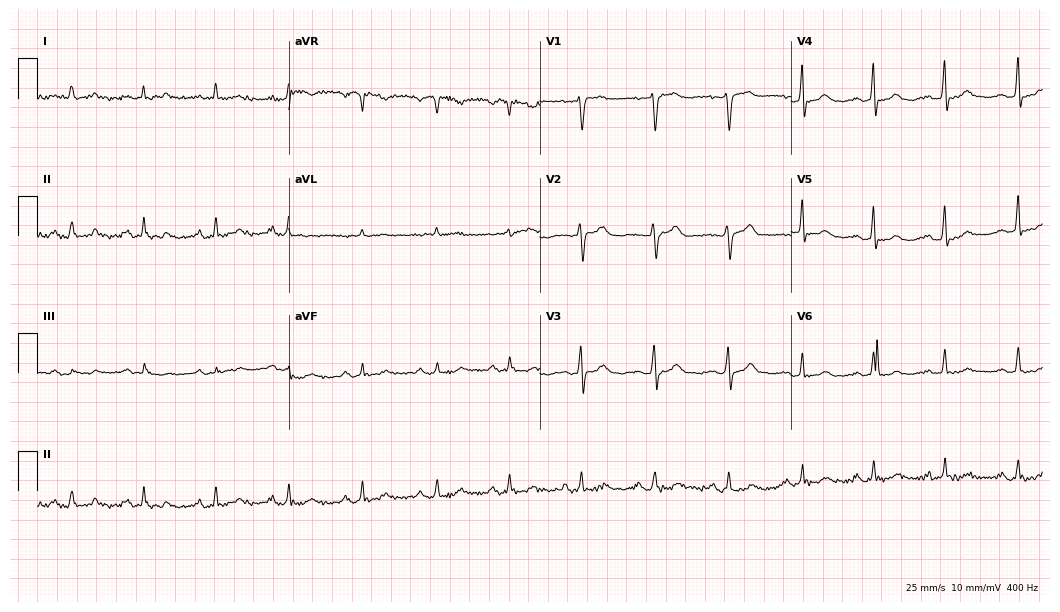
Resting 12-lead electrocardiogram (10.2-second recording at 400 Hz). Patient: a woman, 63 years old. None of these six findings is recorded: first-degree AV block, right bundle branch block, left bundle branch block, sinus bradycardia, atrial fibrillation, sinus tachycardia.